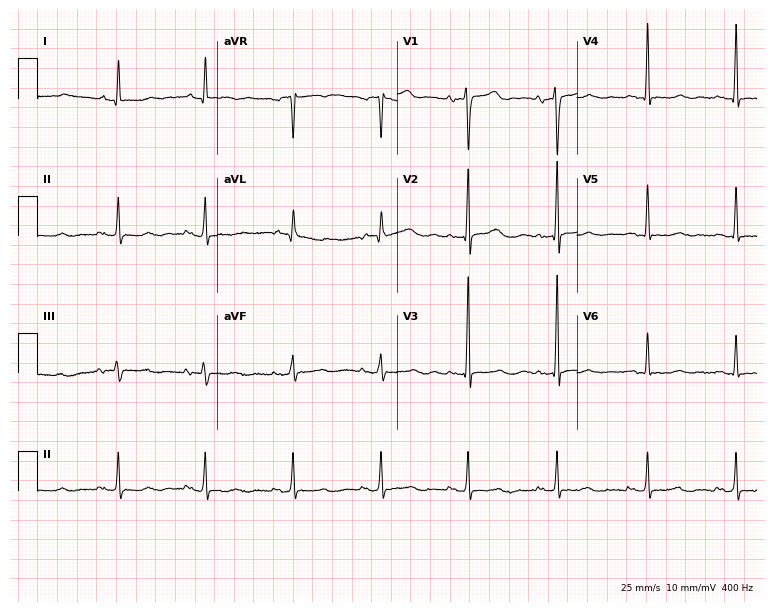
Standard 12-lead ECG recorded from a 66-year-old woman. Read as a normal ECG.